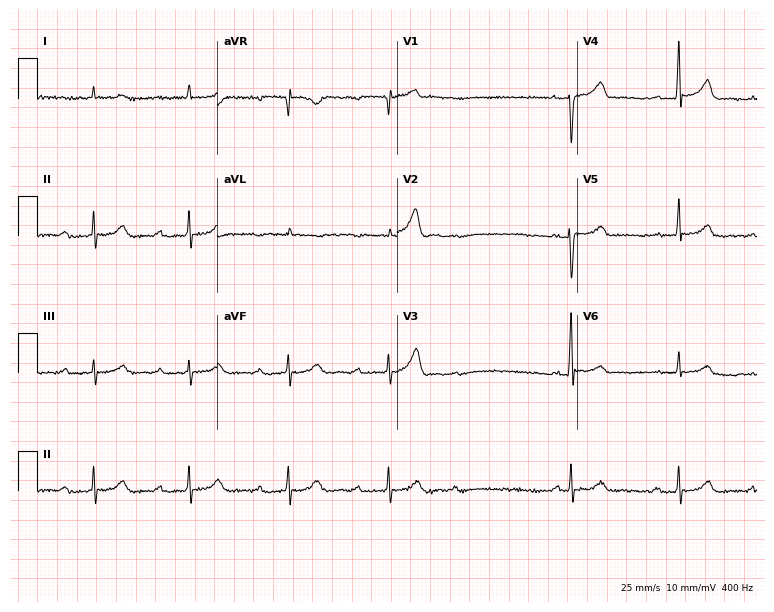
Resting 12-lead electrocardiogram. Patient: a male, 37 years old. None of these six findings is recorded: first-degree AV block, right bundle branch block, left bundle branch block, sinus bradycardia, atrial fibrillation, sinus tachycardia. Only these six findings were labelled.